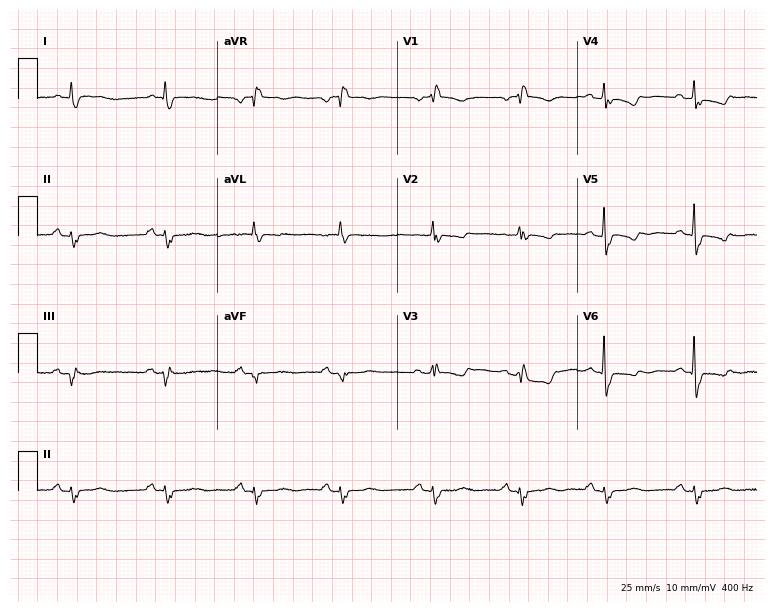
Standard 12-lead ECG recorded from a 79-year-old female patient. The tracing shows right bundle branch block (RBBB).